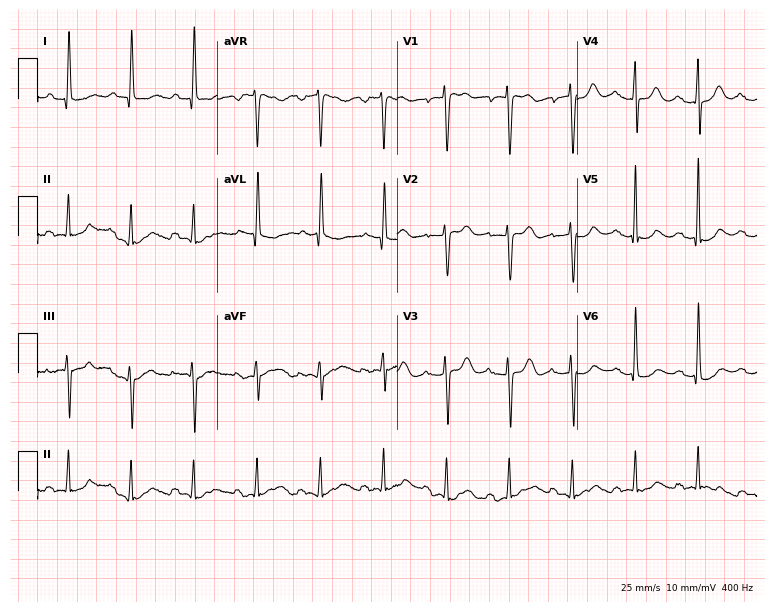
Electrocardiogram (7.3-second recording at 400 Hz), a female, 81 years old. Of the six screened findings (first-degree AV block, right bundle branch block (RBBB), left bundle branch block (LBBB), sinus bradycardia, atrial fibrillation (AF), sinus tachycardia), none is recorded.